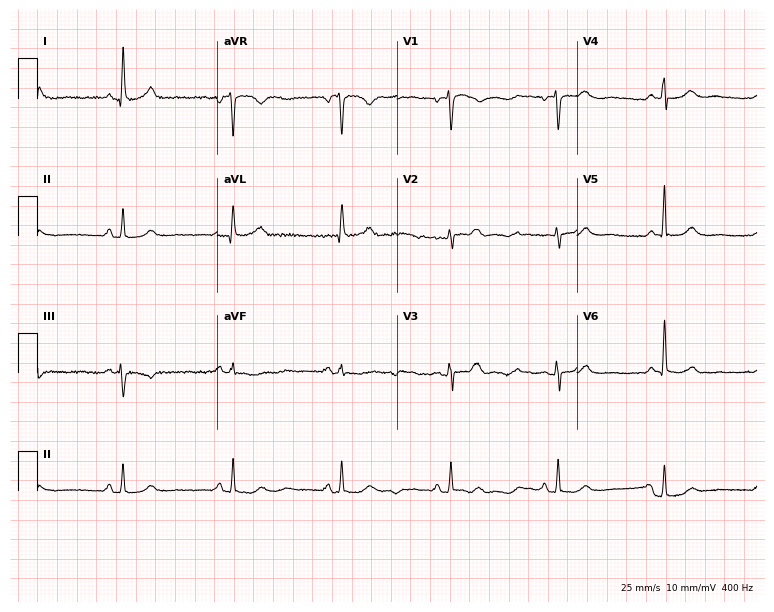
12-lead ECG (7.3-second recording at 400 Hz) from a 67-year-old woman. Labelled as a normal ECG.